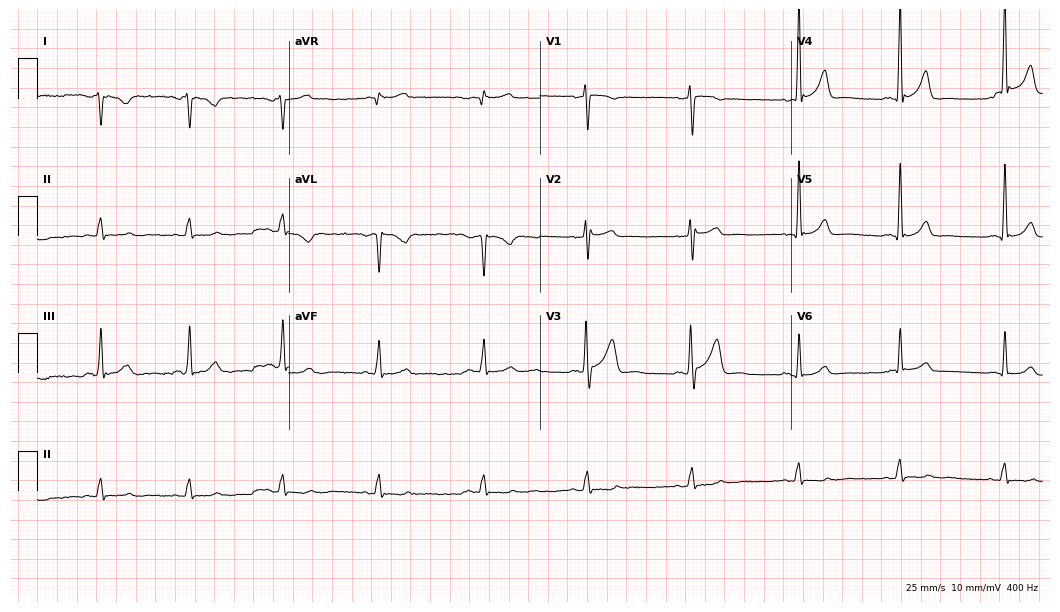
ECG (10.2-second recording at 400 Hz) — a 38-year-old male. Screened for six findings — first-degree AV block, right bundle branch block (RBBB), left bundle branch block (LBBB), sinus bradycardia, atrial fibrillation (AF), sinus tachycardia — none is recorded.